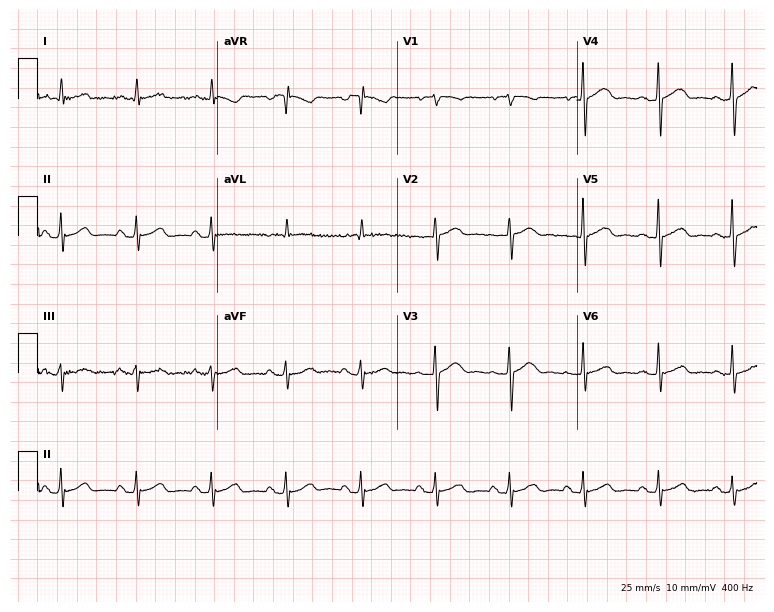
12-lead ECG from an 80-year-old female. Recorded interpretation: within normal limits.